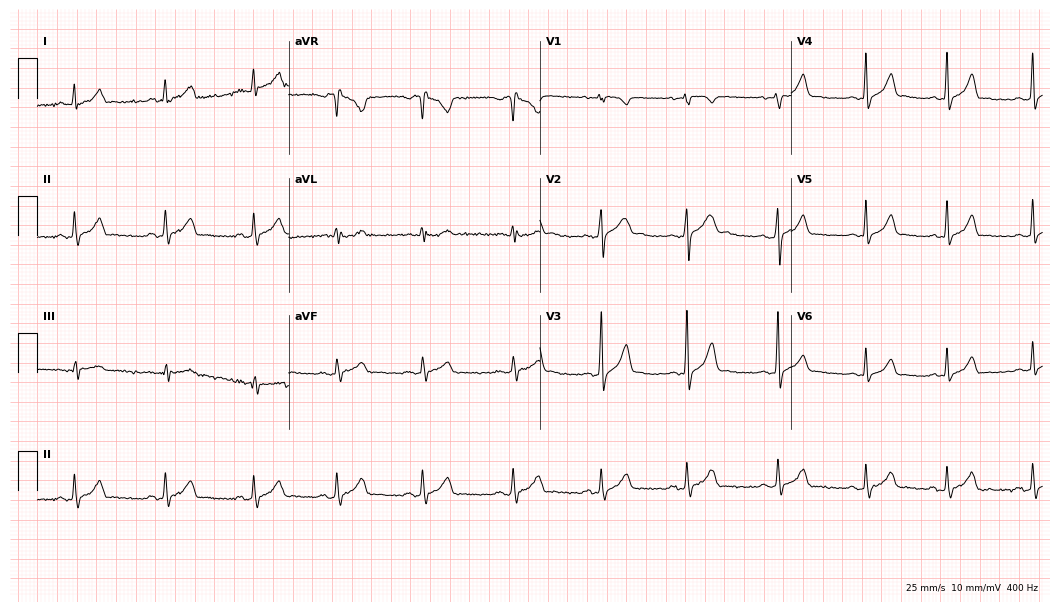
12-lead ECG from a 17-year-old male. Recorded interpretation: within normal limits.